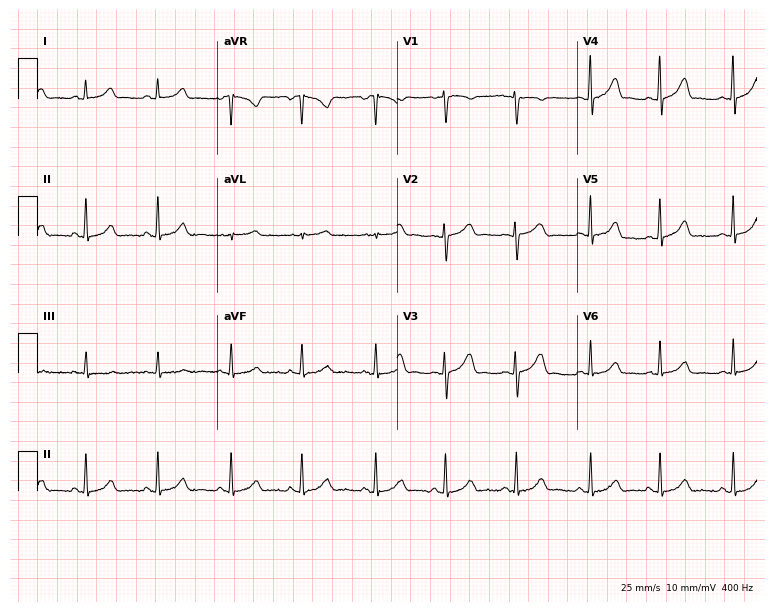
Resting 12-lead electrocardiogram. Patient: a female, 17 years old. Read as a normal ECG.